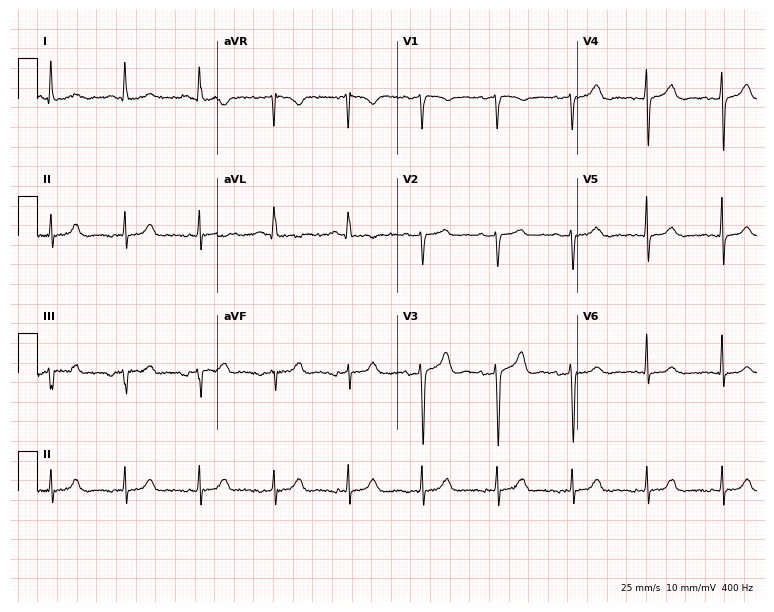
Electrocardiogram, a 79-year-old female patient. Overall reading on record: normal ECG.